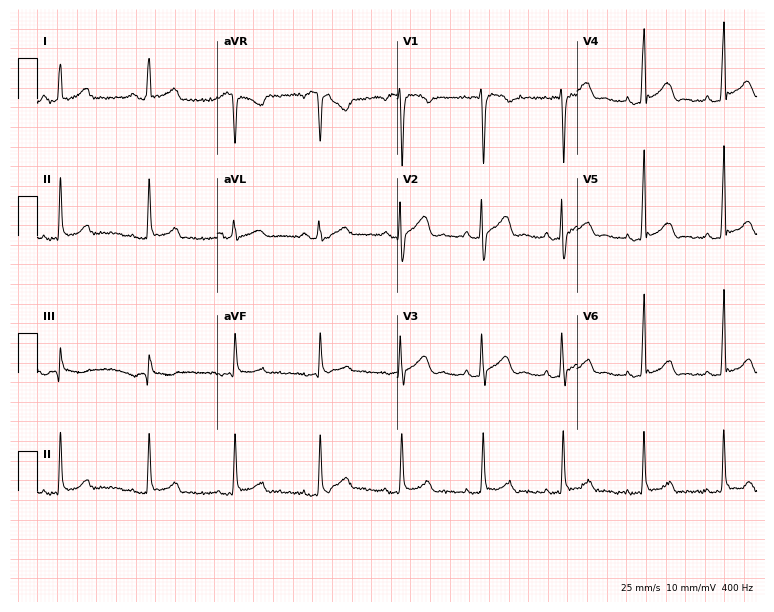
ECG (7.3-second recording at 400 Hz) — a female, 31 years old. Labelled as a normal ECG.